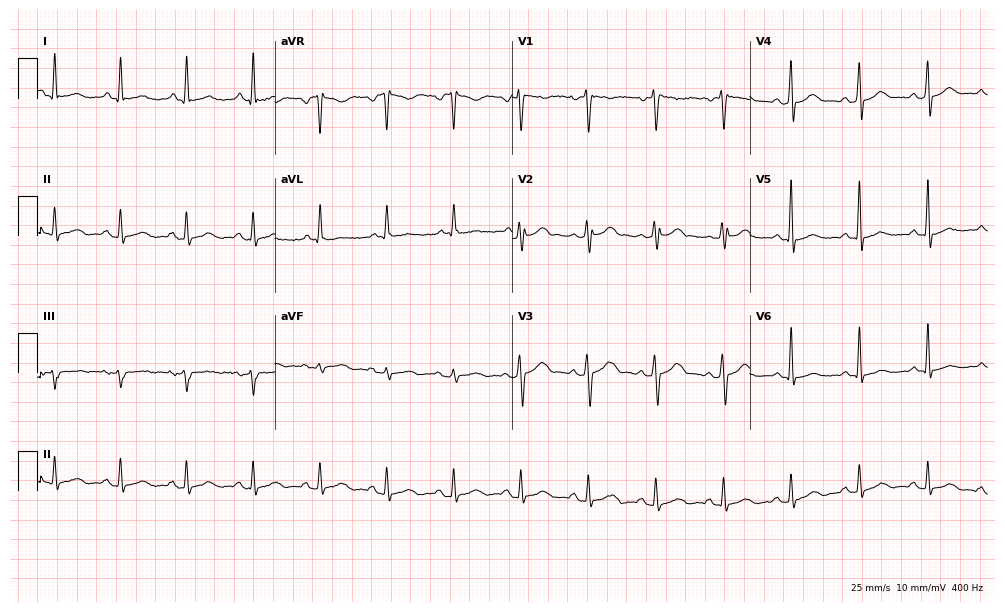
12-lead ECG from a male patient, 39 years old. Labelled as a normal ECG.